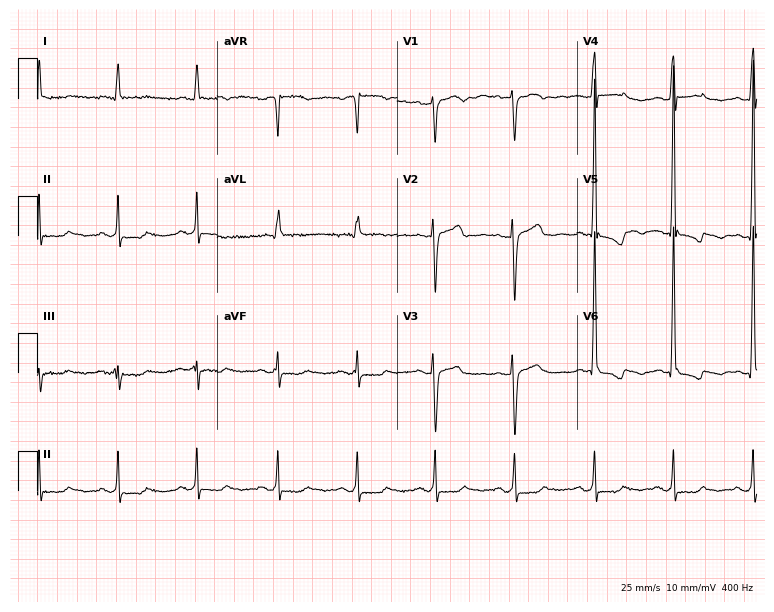
Standard 12-lead ECG recorded from a 50-year-old female (7.3-second recording at 400 Hz). None of these six findings is recorded: first-degree AV block, right bundle branch block, left bundle branch block, sinus bradycardia, atrial fibrillation, sinus tachycardia.